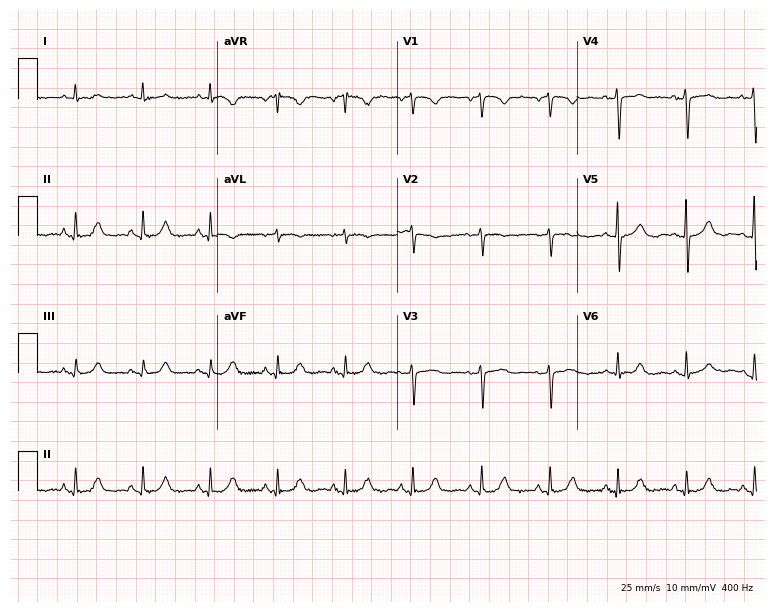
Standard 12-lead ECG recorded from an 80-year-old woman (7.3-second recording at 400 Hz). None of these six findings is recorded: first-degree AV block, right bundle branch block (RBBB), left bundle branch block (LBBB), sinus bradycardia, atrial fibrillation (AF), sinus tachycardia. Findings outside these six are not listed.